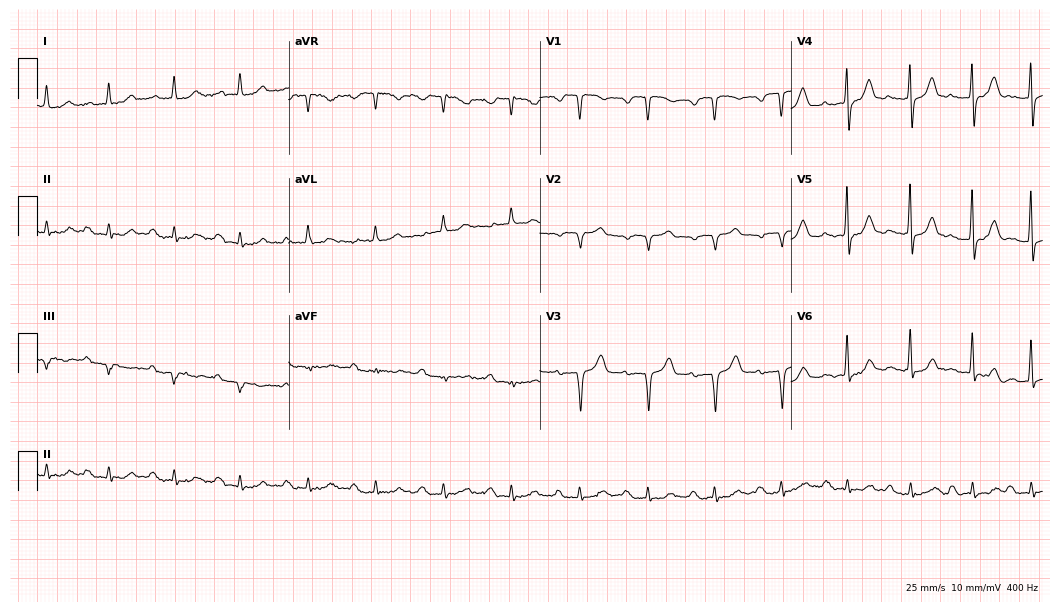
12-lead ECG from a 76-year-old male. Shows first-degree AV block.